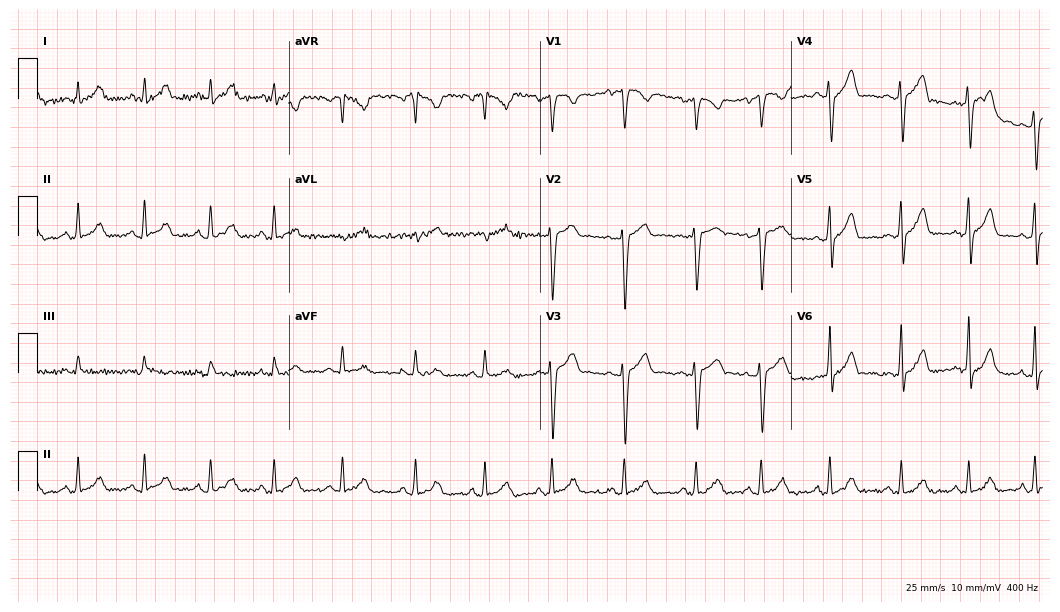
ECG (10.2-second recording at 400 Hz) — an 84-year-old man. Labelled as a normal ECG.